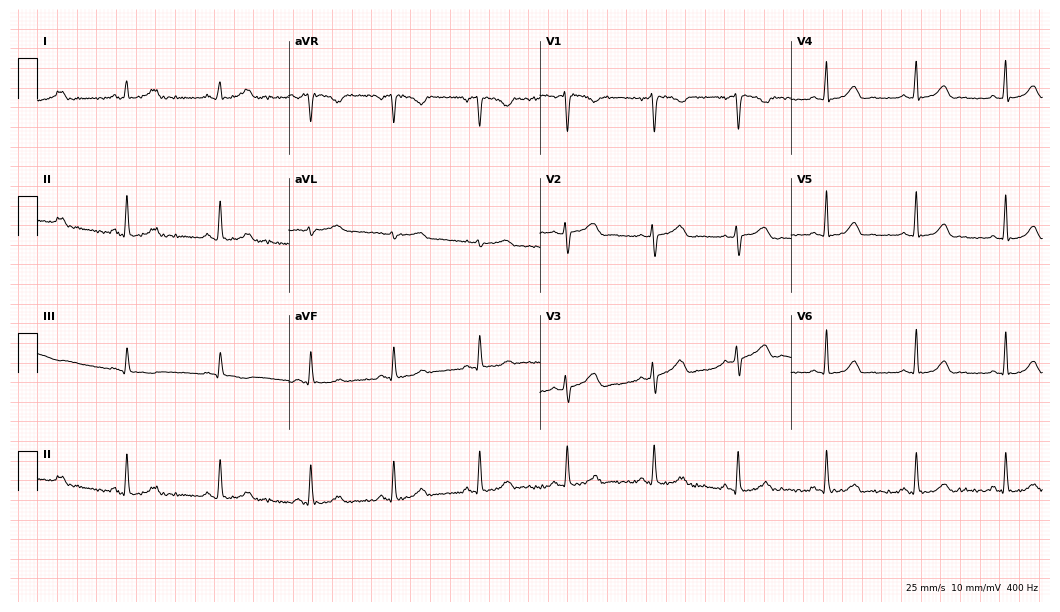
12-lead ECG from a 25-year-old woman. Recorded interpretation: within normal limits.